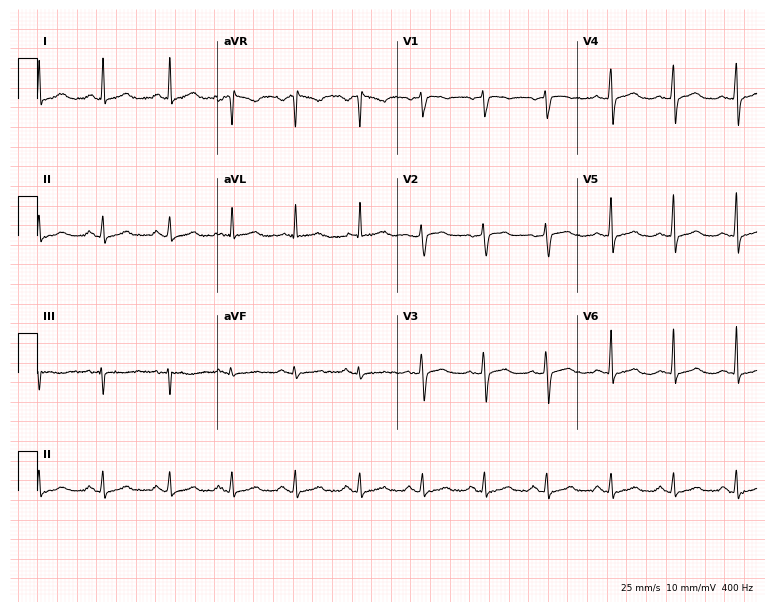
Standard 12-lead ECG recorded from a female, 46 years old. Read as a normal ECG.